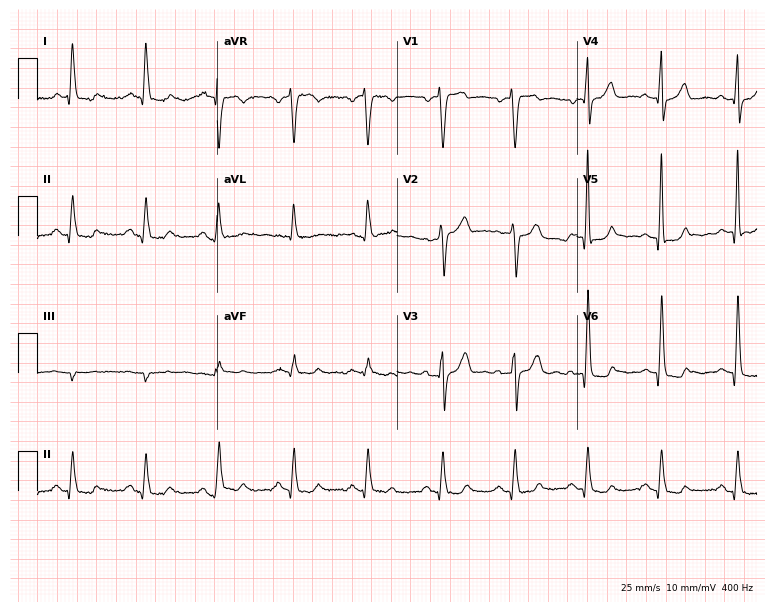
Standard 12-lead ECG recorded from a man, 53 years old. None of these six findings is recorded: first-degree AV block, right bundle branch block, left bundle branch block, sinus bradycardia, atrial fibrillation, sinus tachycardia. Only these six findings were labelled.